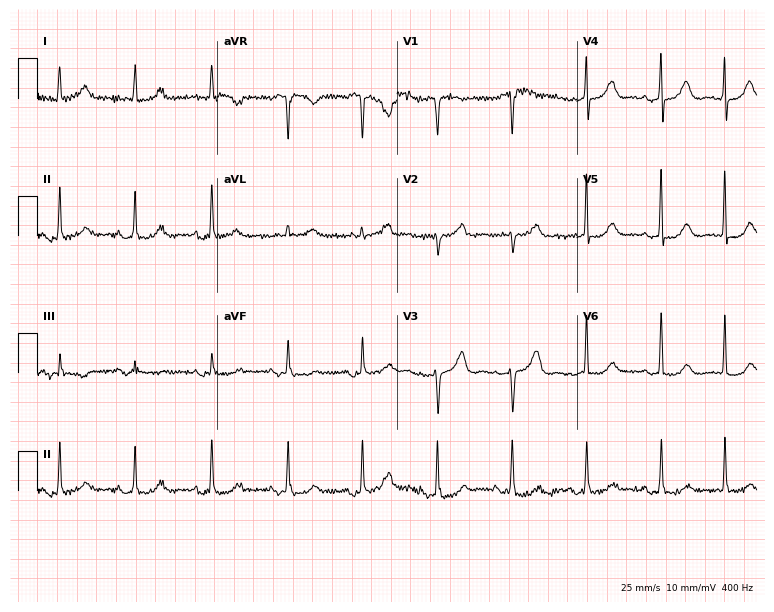
Electrocardiogram (7.3-second recording at 400 Hz), a female patient, 84 years old. Of the six screened findings (first-degree AV block, right bundle branch block, left bundle branch block, sinus bradycardia, atrial fibrillation, sinus tachycardia), none is recorded. Other findings, if any, are not listed.